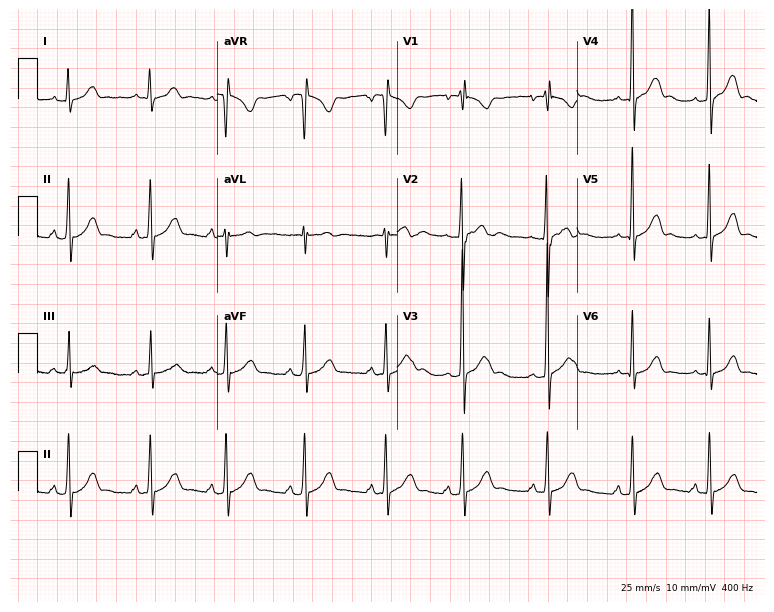
Electrocardiogram, a 24-year-old male patient. Overall reading on record: normal ECG.